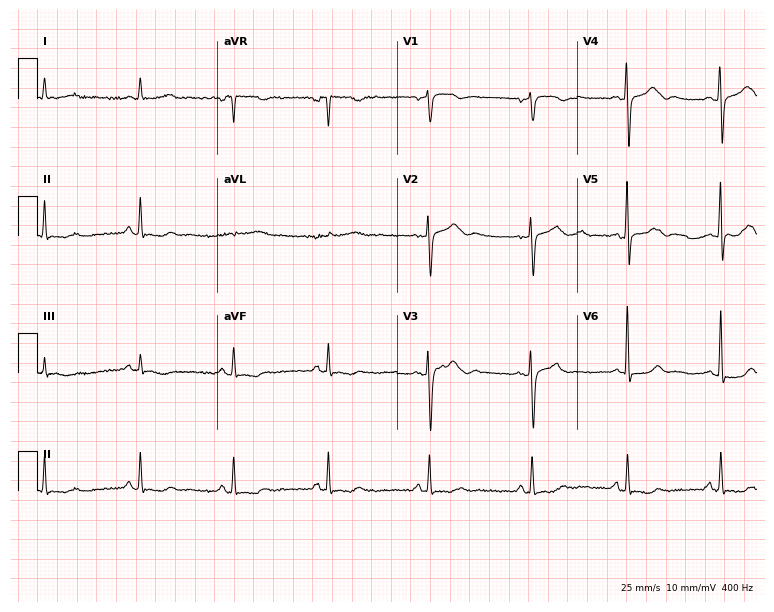
Electrocardiogram (7.3-second recording at 400 Hz), a 52-year-old woman. Of the six screened findings (first-degree AV block, right bundle branch block, left bundle branch block, sinus bradycardia, atrial fibrillation, sinus tachycardia), none is recorded. Findings outside these six are not listed.